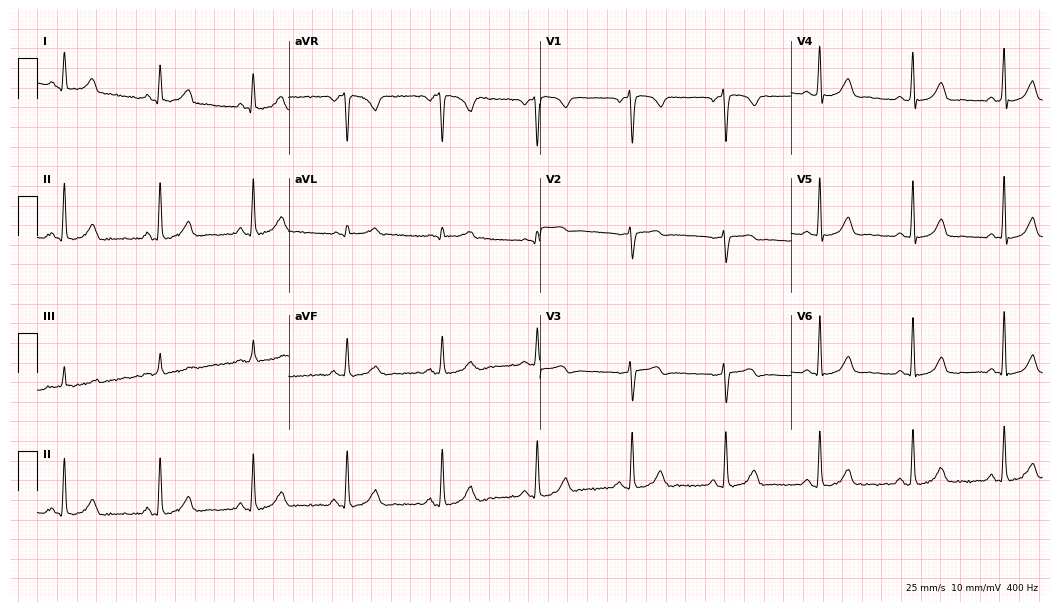
Standard 12-lead ECG recorded from a female patient, 42 years old. None of these six findings is recorded: first-degree AV block, right bundle branch block (RBBB), left bundle branch block (LBBB), sinus bradycardia, atrial fibrillation (AF), sinus tachycardia. Findings outside these six are not listed.